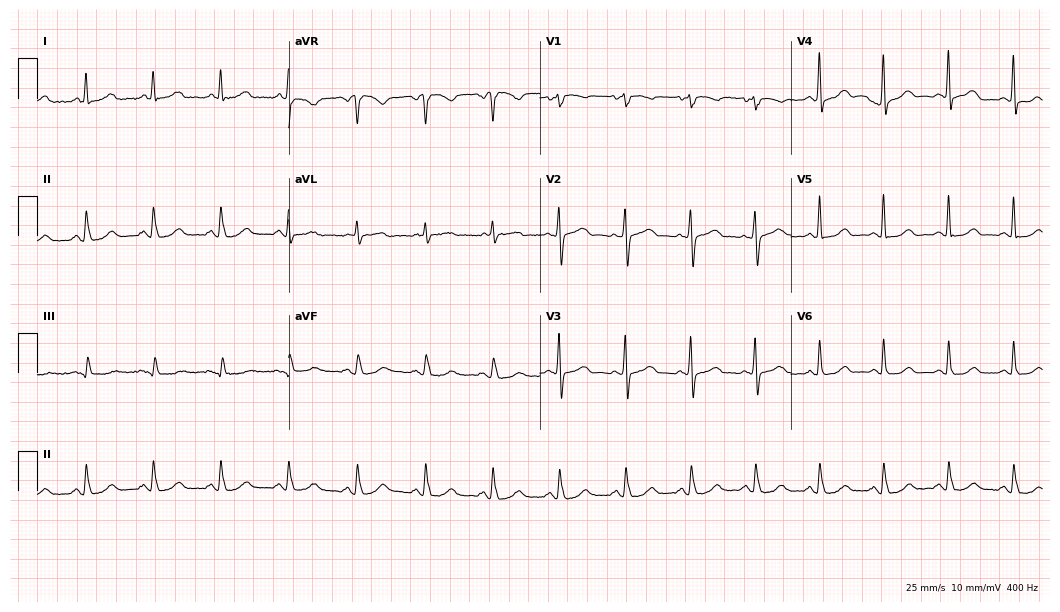
12-lead ECG from a woman, 76 years old. Recorded interpretation: within normal limits.